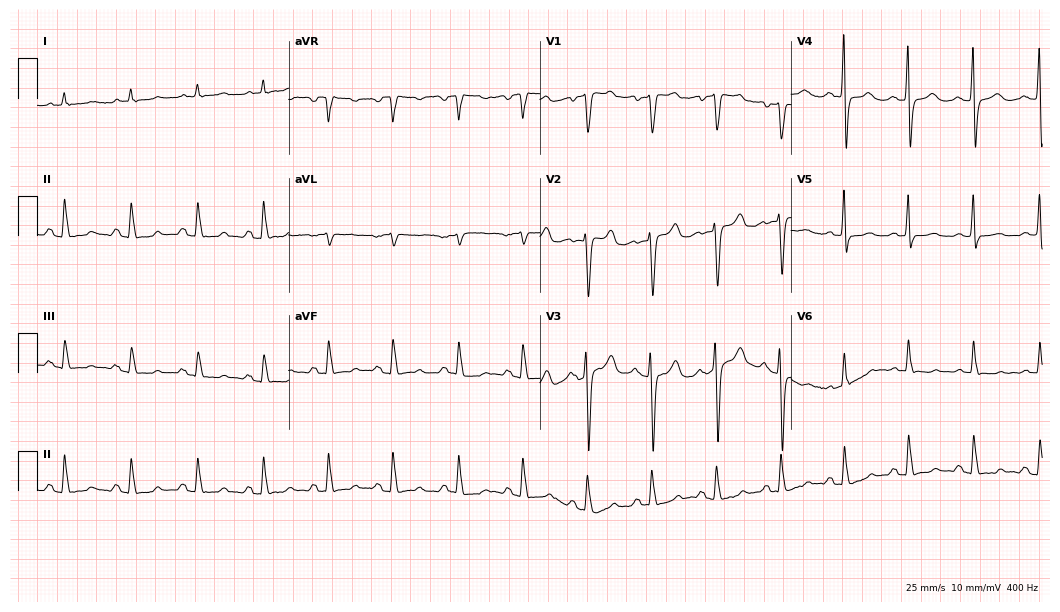
Resting 12-lead electrocardiogram (10.2-second recording at 400 Hz). Patient: an 84-year-old female. None of these six findings is recorded: first-degree AV block, right bundle branch block (RBBB), left bundle branch block (LBBB), sinus bradycardia, atrial fibrillation (AF), sinus tachycardia. Other findings, if any, are not listed.